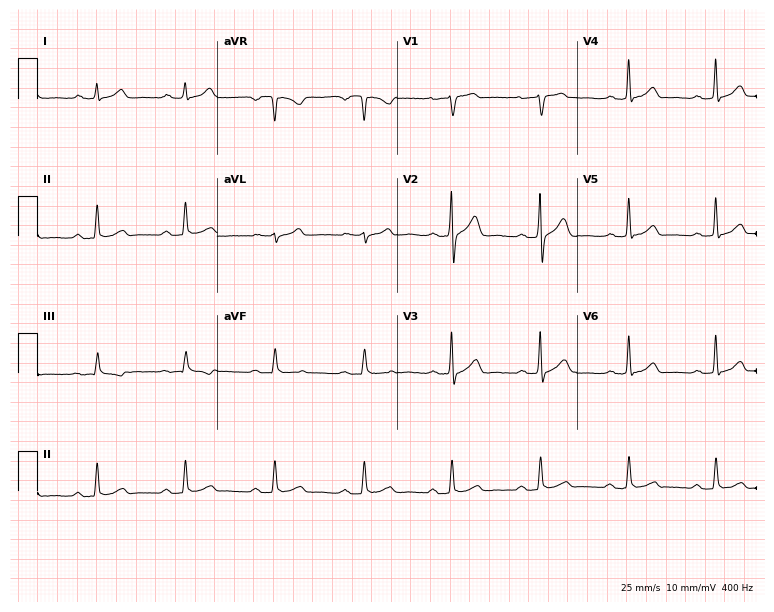
ECG — a 40-year-old man. Screened for six findings — first-degree AV block, right bundle branch block (RBBB), left bundle branch block (LBBB), sinus bradycardia, atrial fibrillation (AF), sinus tachycardia — none is recorded.